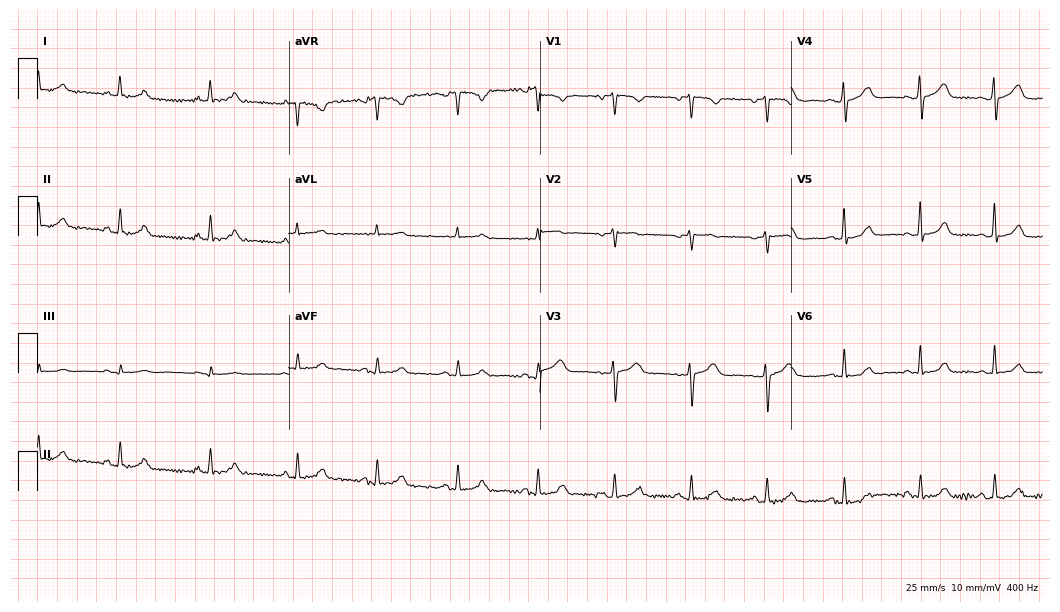
12-lead ECG from a female patient, 40 years old (10.2-second recording at 400 Hz). Recorded interpretation: within normal limits.